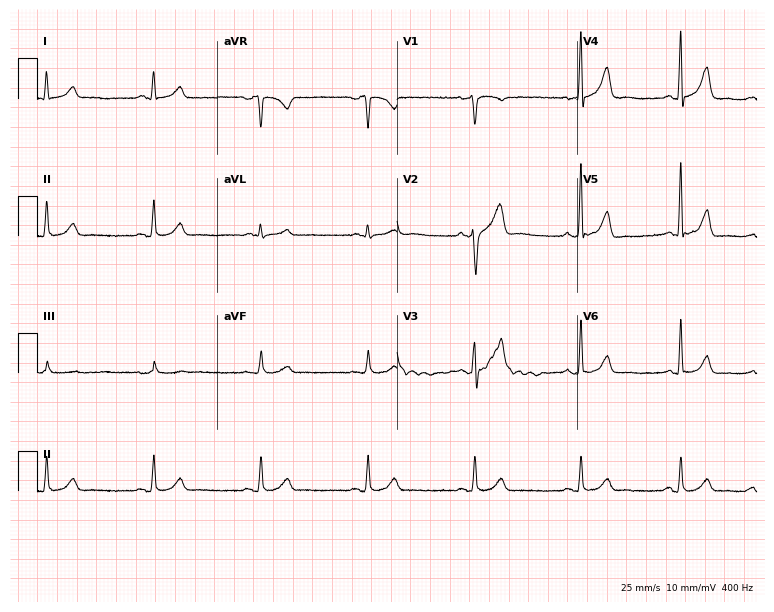
Standard 12-lead ECG recorded from a man, 65 years old. None of these six findings is recorded: first-degree AV block, right bundle branch block (RBBB), left bundle branch block (LBBB), sinus bradycardia, atrial fibrillation (AF), sinus tachycardia. Other findings, if any, are not listed.